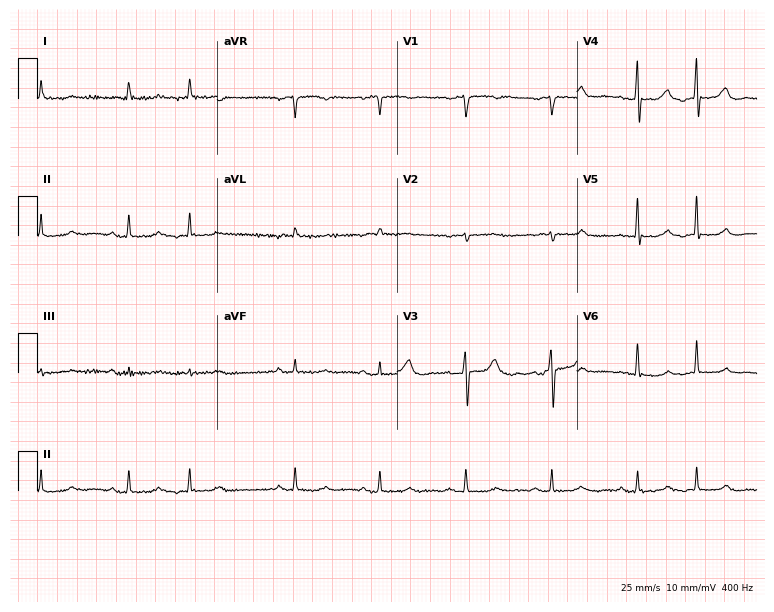
ECG — a male, 80 years old. Screened for six findings — first-degree AV block, right bundle branch block (RBBB), left bundle branch block (LBBB), sinus bradycardia, atrial fibrillation (AF), sinus tachycardia — none is recorded.